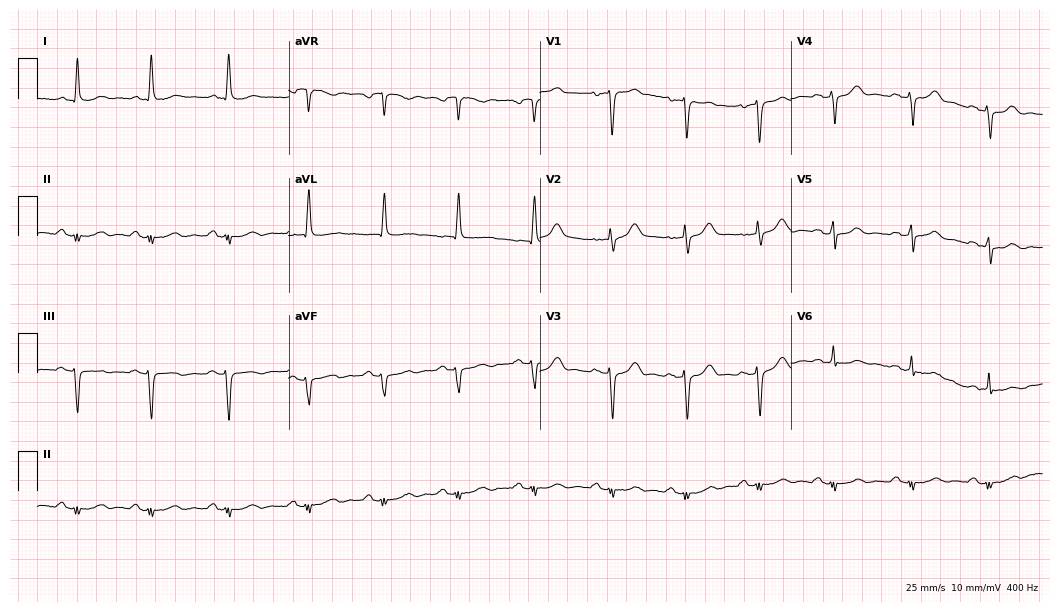
Resting 12-lead electrocardiogram (10.2-second recording at 400 Hz). Patient: a 54-year-old man. None of these six findings is recorded: first-degree AV block, right bundle branch block, left bundle branch block, sinus bradycardia, atrial fibrillation, sinus tachycardia.